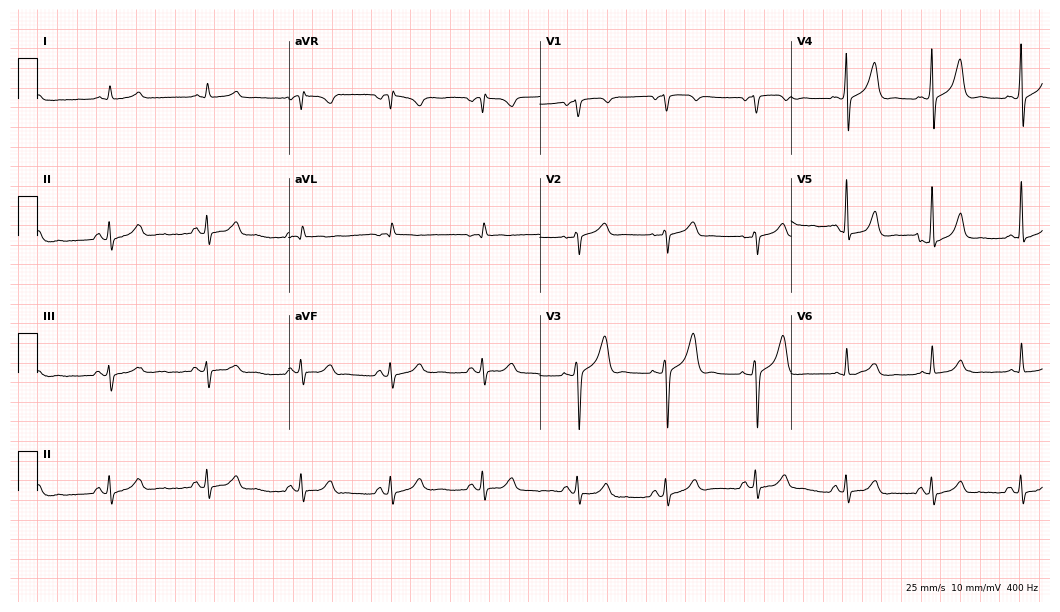
12-lead ECG from a 63-year-old male patient. Labelled as a normal ECG.